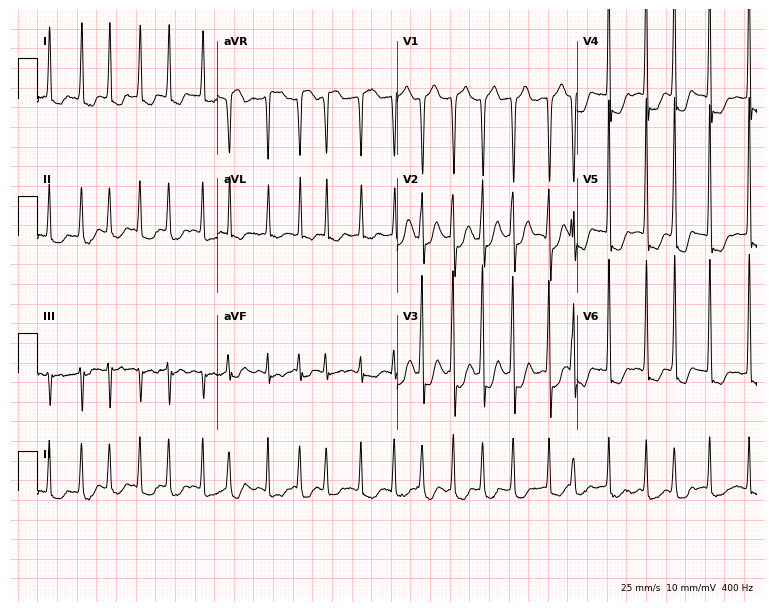
Resting 12-lead electrocardiogram (7.3-second recording at 400 Hz). Patient: a 72-year-old female. The tracing shows atrial fibrillation (AF).